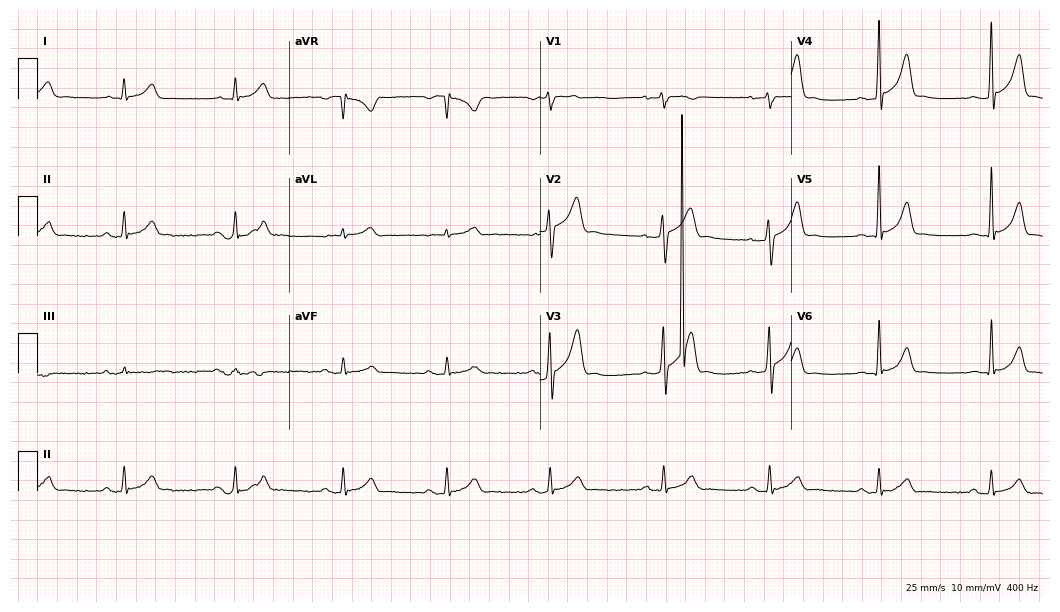
12-lead ECG from a 34-year-old male patient. Labelled as a normal ECG.